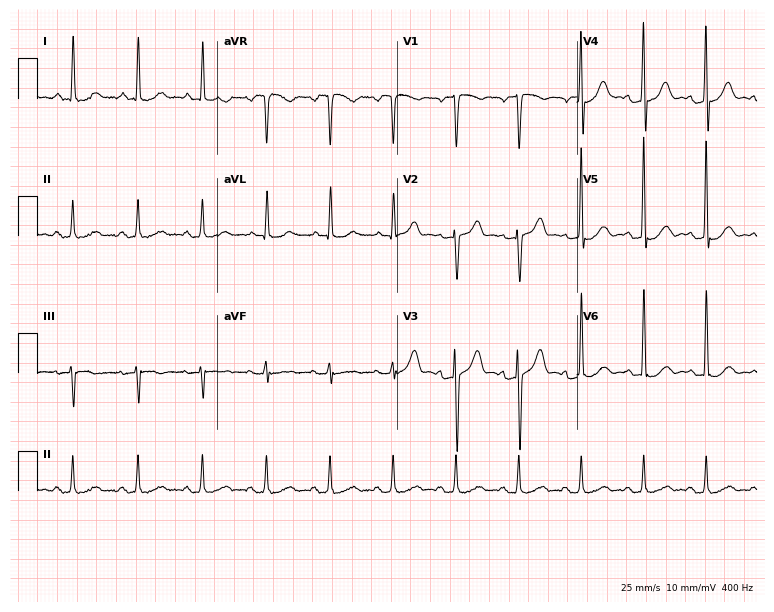
Resting 12-lead electrocardiogram (7.3-second recording at 400 Hz). Patient: a 46-year-old male. None of these six findings is recorded: first-degree AV block, right bundle branch block (RBBB), left bundle branch block (LBBB), sinus bradycardia, atrial fibrillation (AF), sinus tachycardia. Other findings, if any, are not listed.